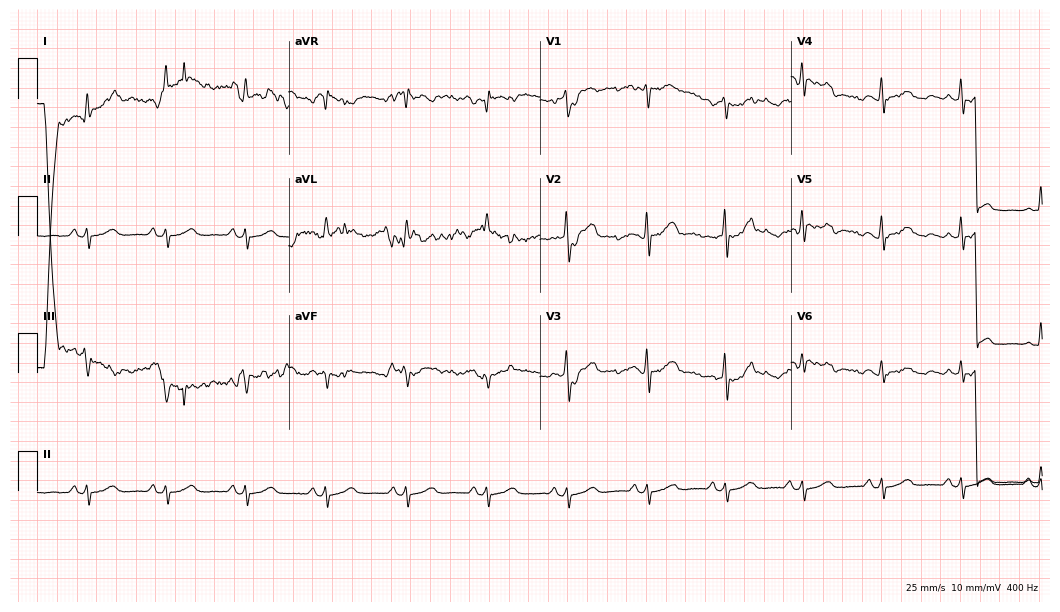
Standard 12-lead ECG recorded from a 52-year-old female patient. None of these six findings is recorded: first-degree AV block, right bundle branch block (RBBB), left bundle branch block (LBBB), sinus bradycardia, atrial fibrillation (AF), sinus tachycardia.